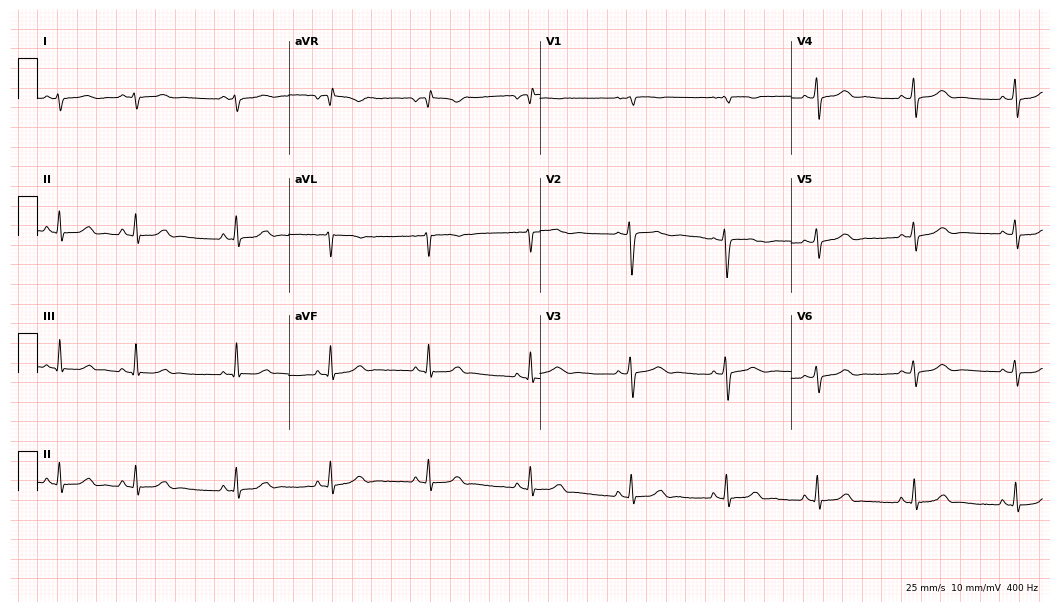
Standard 12-lead ECG recorded from a woman, 19 years old. None of these six findings is recorded: first-degree AV block, right bundle branch block (RBBB), left bundle branch block (LBBB), sinus bradycardia, atrial fibrillation (AF), sinus tachycardia.